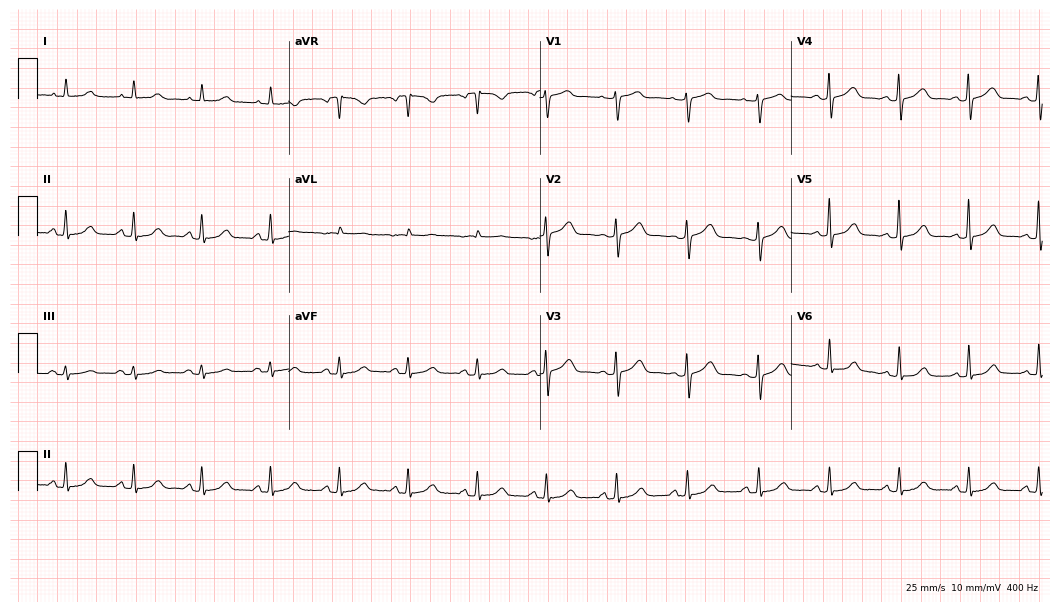
Standard 12-lead ECG recorded from a 72-year-old female patient (10.2-second recording at 400 Hz). Read as a normal ECG.